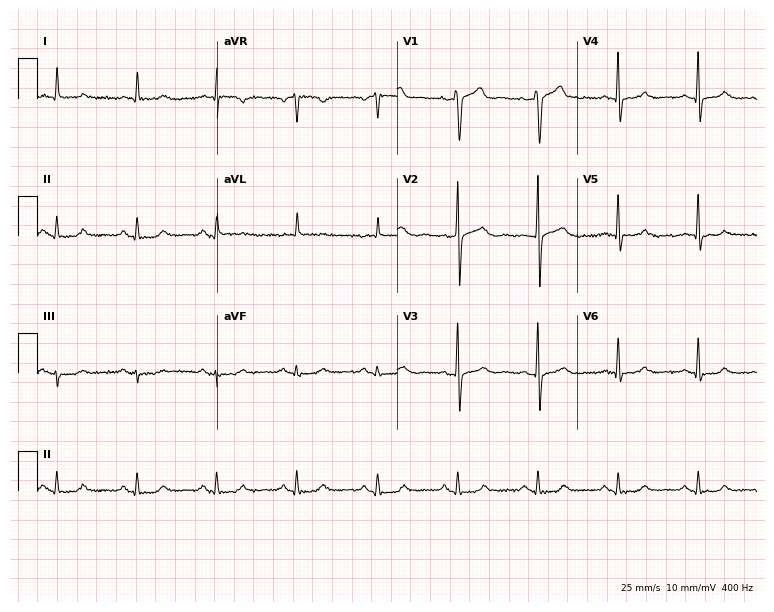
Standard 12-lead ECG recorded from a 68-year-old man (7.3-second recording at 400 Hz). None of these six findings is recorded: first-degree AV block, right bundle branch block (RBBB), left bundle branch block (LBBB), sinus bradycardia, atrial fibrillation (AF), sinus tachycardia.